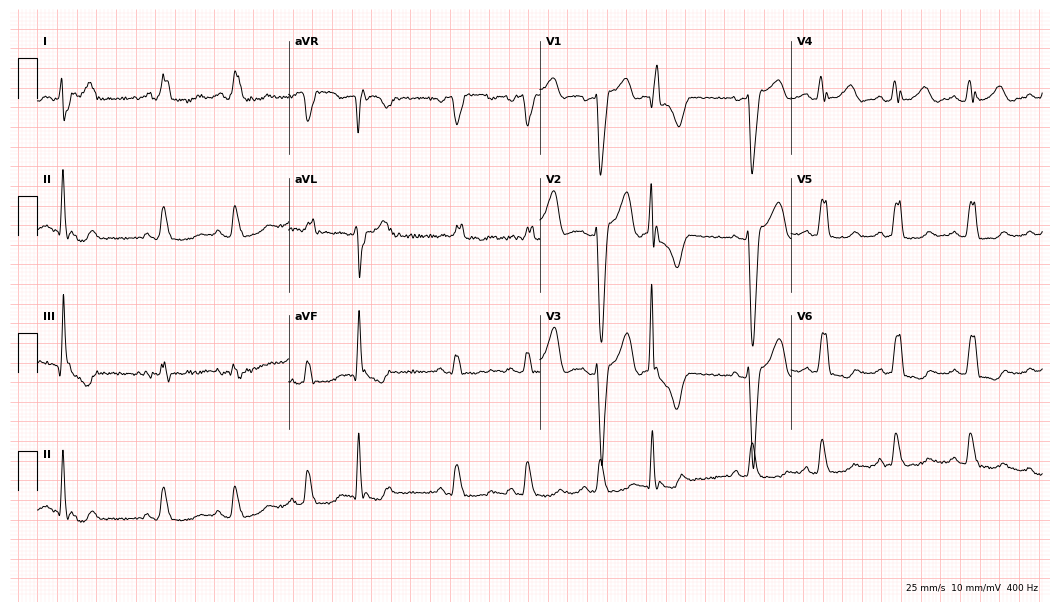
ECG — a 74-year-old female patient. Findings include left bundle branch block (LBBB).